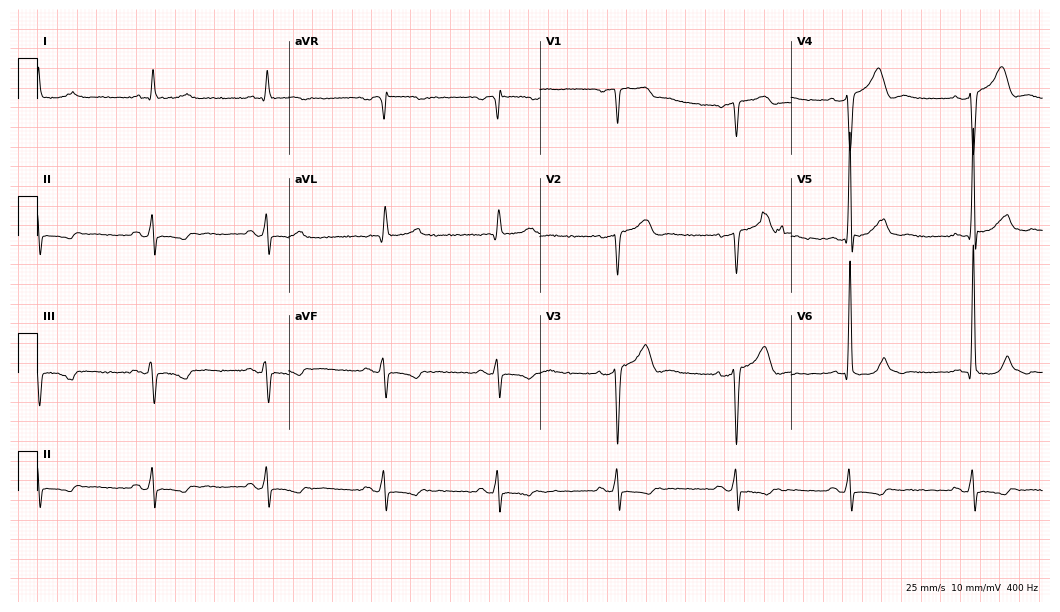
ECG — a male patient, 54 years old. Screened for six findings — first-degree AV block, right bundle branch block (RBBB), left bundle branch block (LBBB), sinus bradycardia, atrial fibrillation (AF), sinus tachycardia — none is recorded.